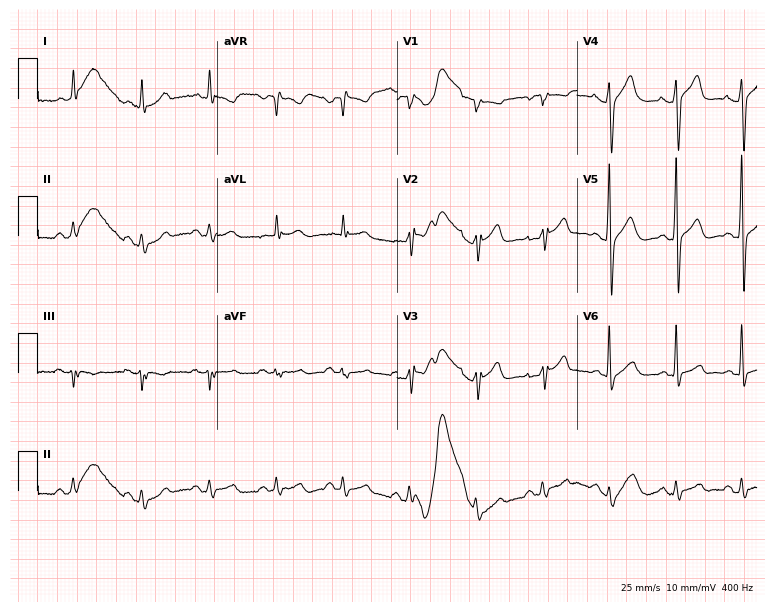
12-lead ECG from a male patient, 57 years old. Labelled as a normal ECG.